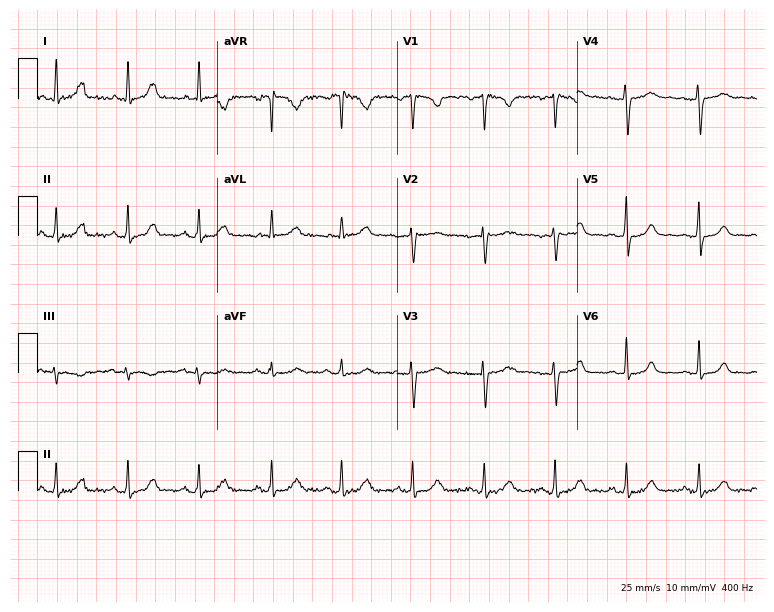
Electrocardiogram (7.3-second recording at 400 Hz), a female patient, 41 years old. Overall reading on record: normal ECG.